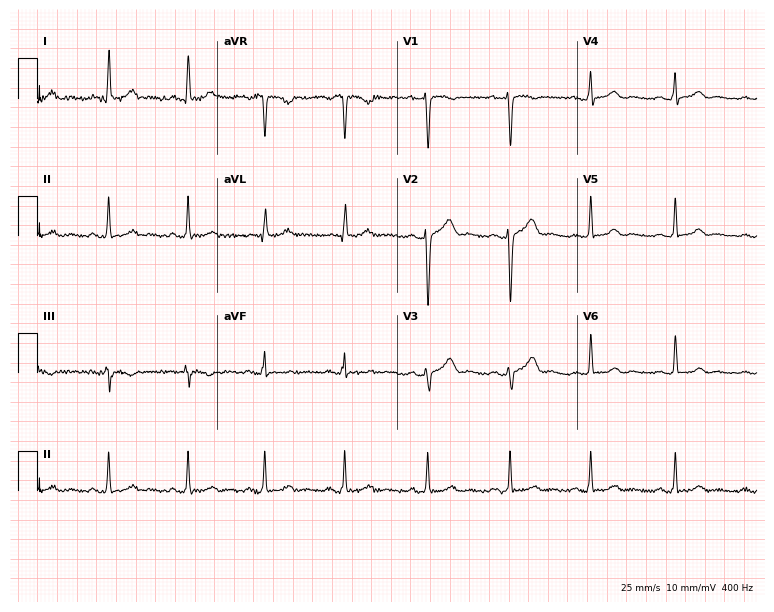
12-lead ECG from a woman, 35 years old. Labelled as a normal ECG.